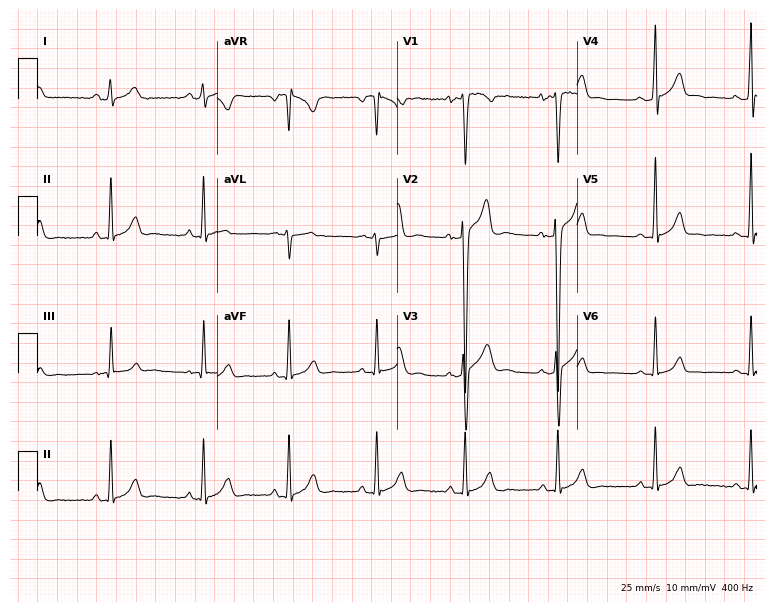
ECG — a male patient, 25 years old. Screened for six findings — first-degree AV block, right bundle branch block, left bundle branch block, sinus bradycardia, atrial fibrillation, sinus tachycardia — none is recorded.